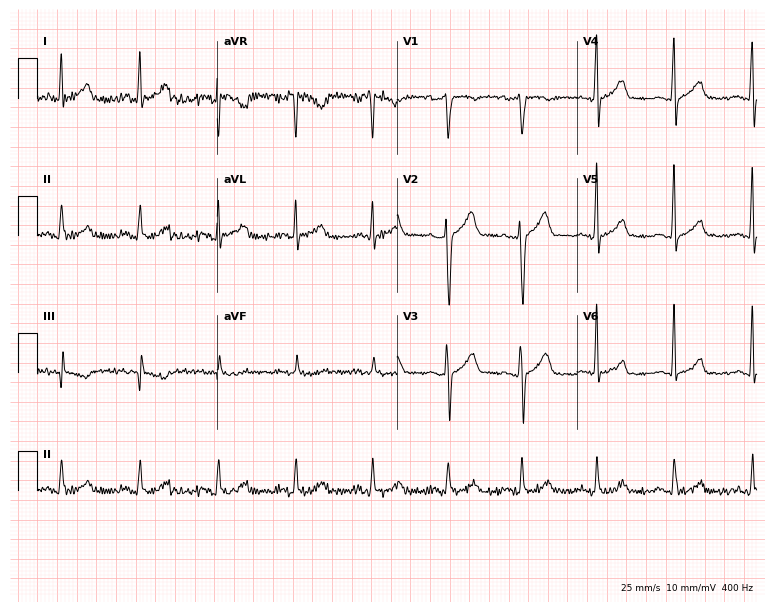
Resting 12-lead electrocardiogram (7.3-second recording at 400 Hz). Patient: a male, 48 years old. Read as a normal ECG.